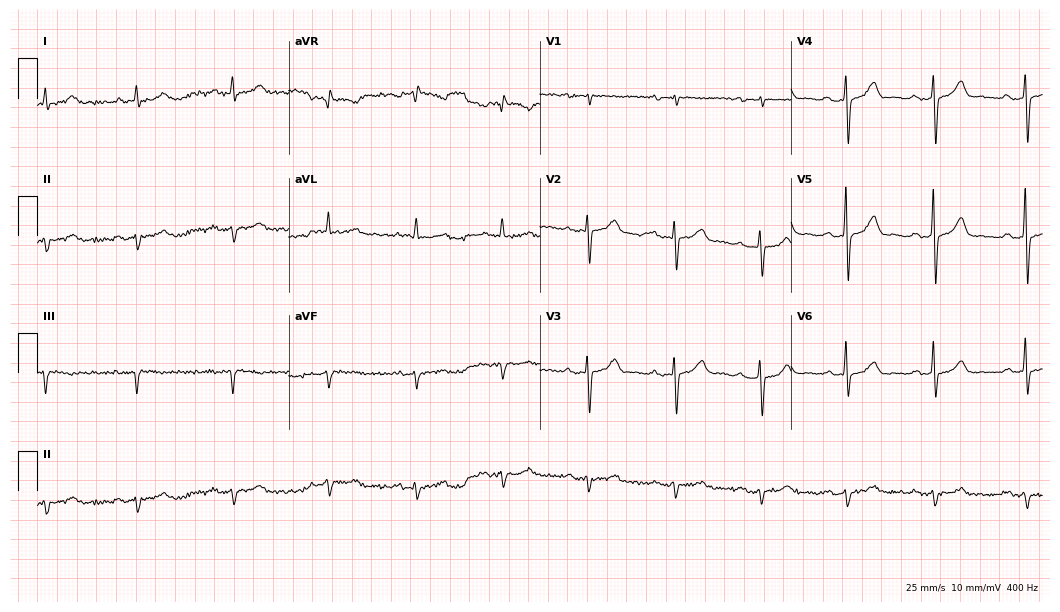
12-lead ECG from a man, 83 years old (10.2-second recording at 400 Hz). No first-degree AV block, right bundle branch block, left bundle branch block, sinus bradycardia, atrial fibrillation or sinus tachycardia recorded for this tracing.